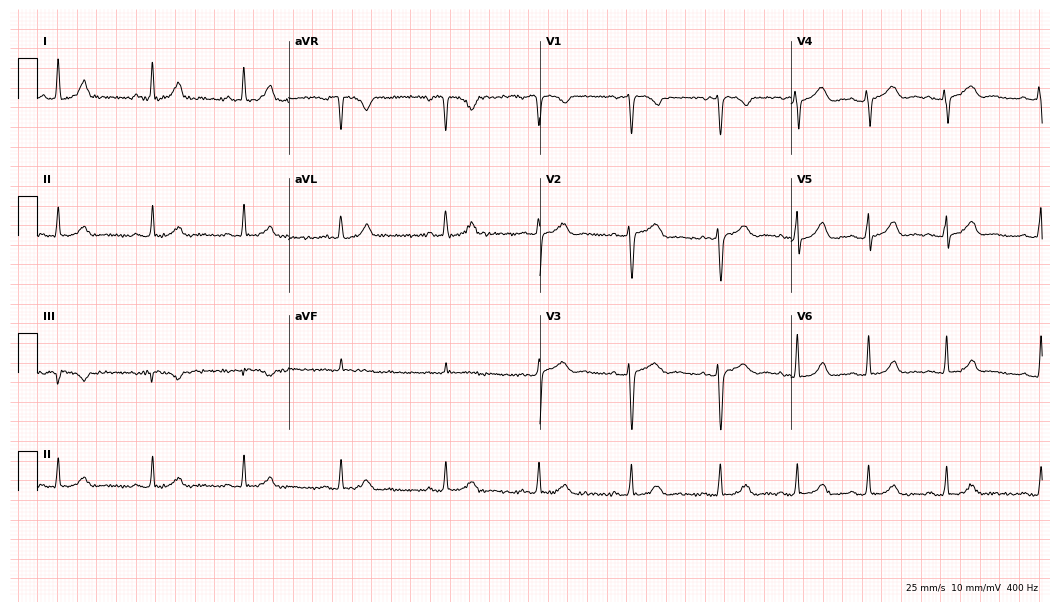
12-lead ECG from a female patient, 37 years old (10.2-second recording at 400 Hz). No first-degree AV block, right bundle branch block, left bundle branch block, sinus bradycardia, atrial fibrillation or sinus tachycardia recorded for this tracing.